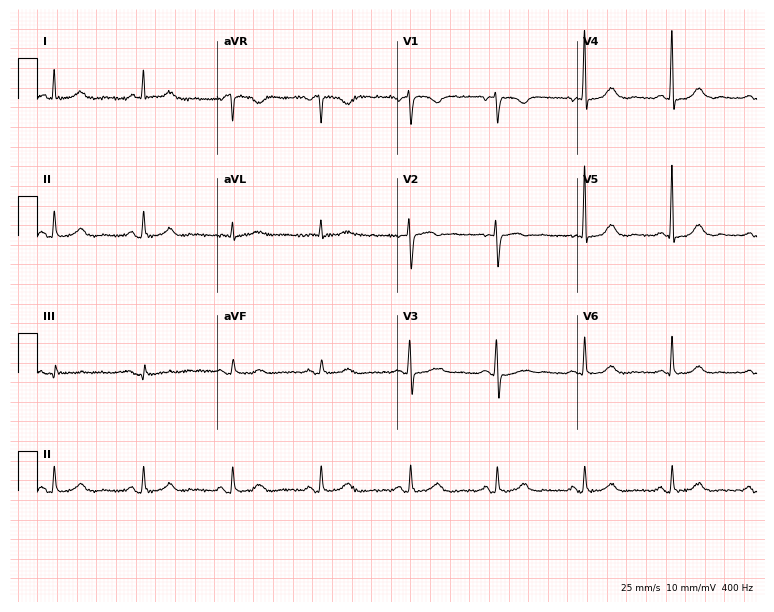
12-lead ECG from a 46-year-old female patient. Recorded interpretation: within normal limits.